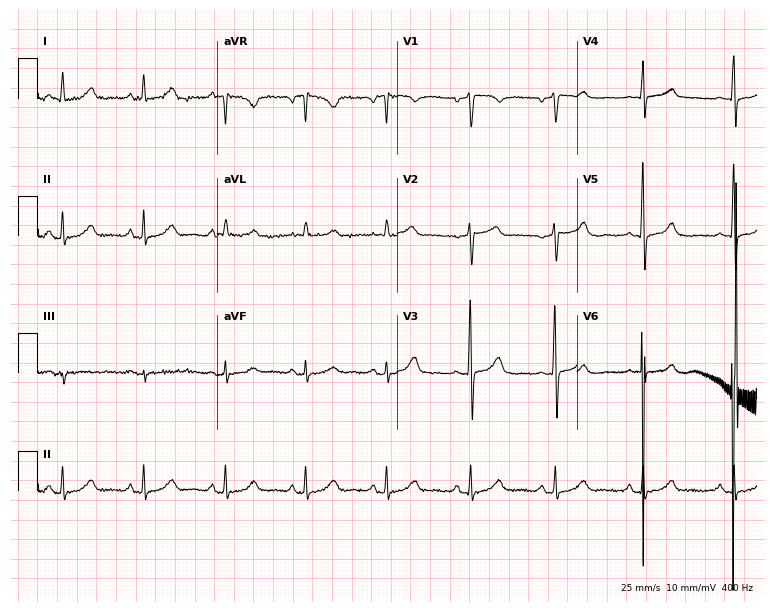
Resting 12-lead electrocardiogram. Patient: a female, 40 years old. Read as a normal ECG.